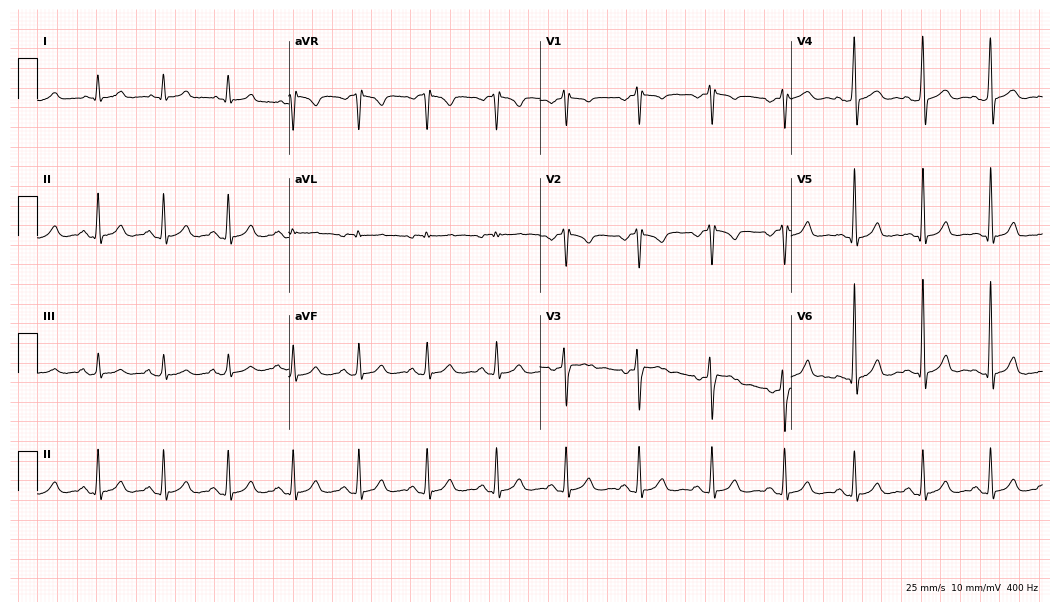
12-lead ECG from a male patient, 40 years old. Labelled as a normal ECG.